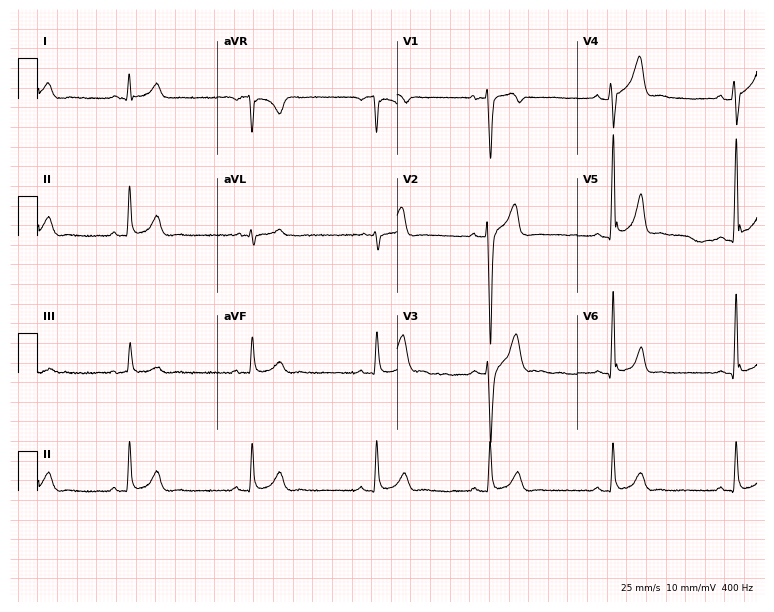
12-lead ECG from a male, 33 years old (7.3-second recording at 400 Hz). No first-degree AV block, right bundle branch block, left bundle branch block, sinus bradycardia, atrial fibrillation or sinus tachycardia recorded for this tracing.